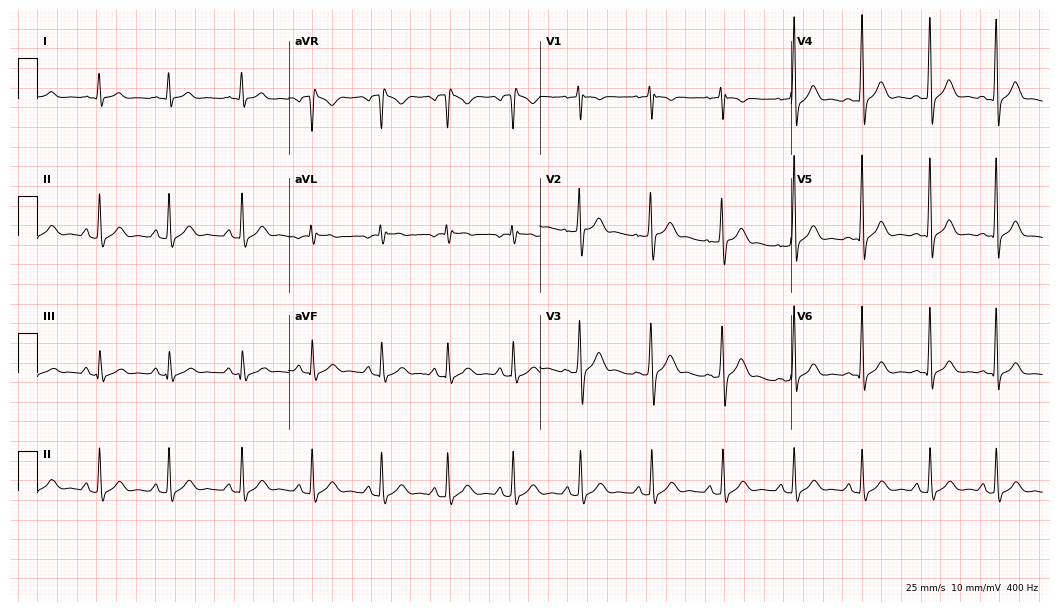
12-lead ECG from a man, 33 years old (10.2-second recording at 400 Hz). No first-degree AV block, right bundle branch block, left bundle branch block, sinus bradycardia, atrial fibrillation or sinus tachycardia recorded for this tracing.